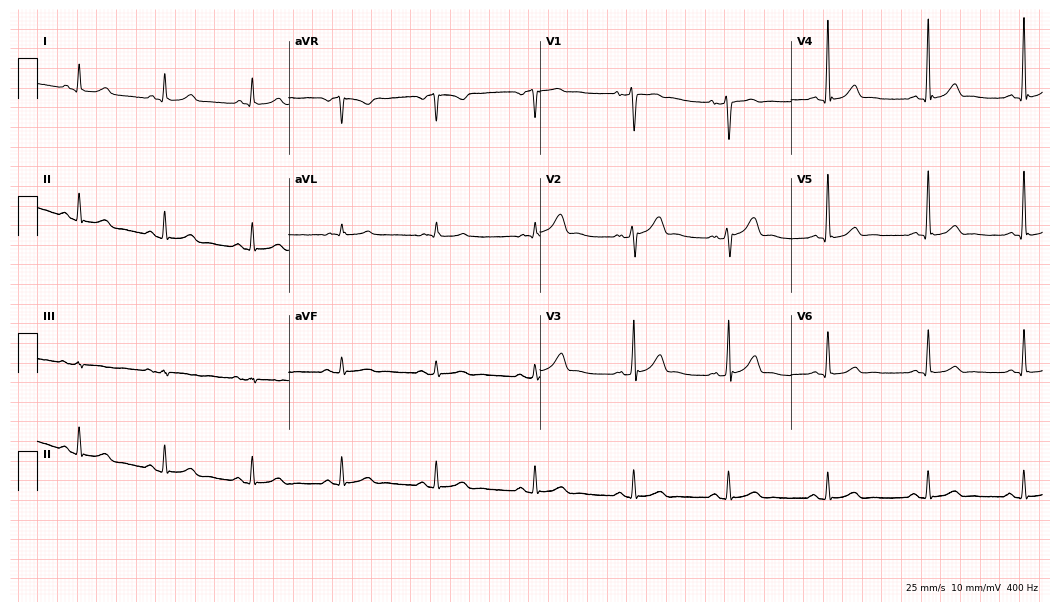
ECG (10.2-second recording at 400 Hz) — a 47-year-old man. Screened for six findings — first-degree AV block, right bundle branch block, left bundle branch block, sinus bradycardia, atrial fibrillation, sinus tachycardia — none is recorded.